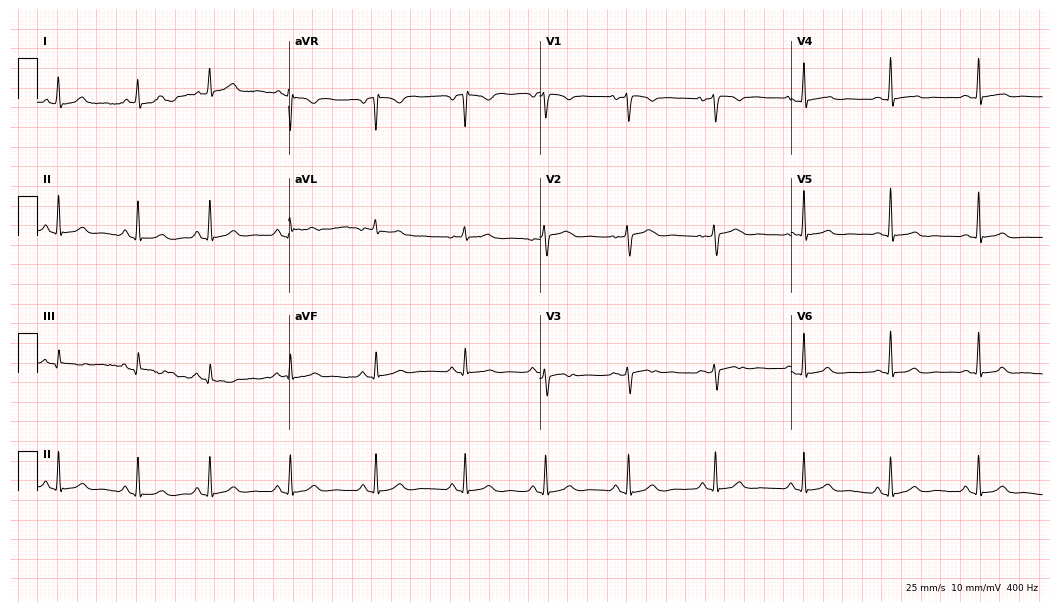
12-lead ECG from a 33-year-old female patient. No first-degree AV block, right bundle branch block, left bundle branch block, sinus bradycardia, atrial fibrillation or sinus tachycardia recorded for this tracing. Only these six findings were labelled.